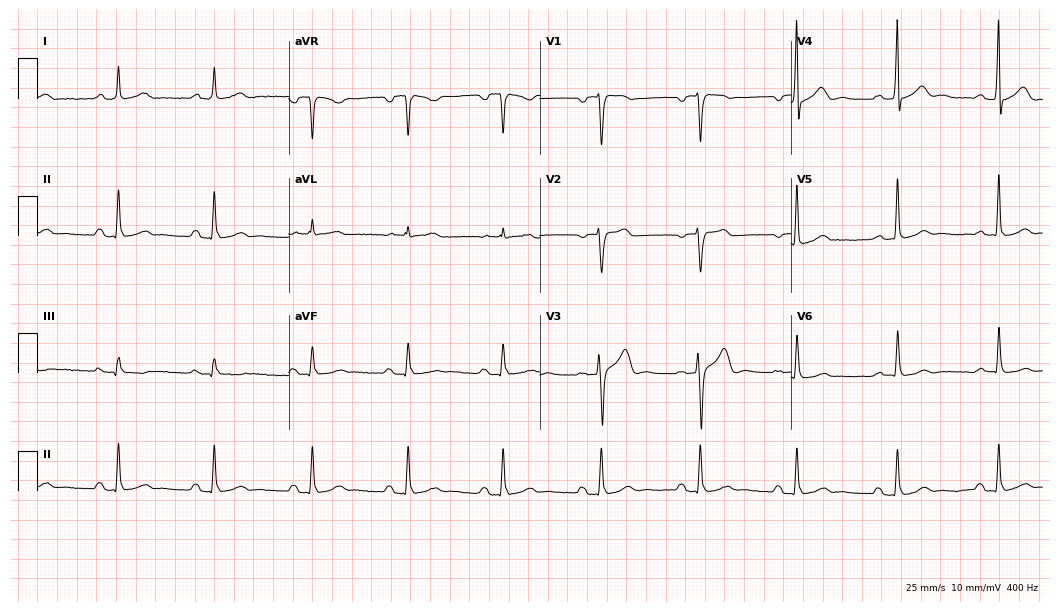
12-lead ECG from a male, 46 years old. Recorded interpretation: within normal limits.